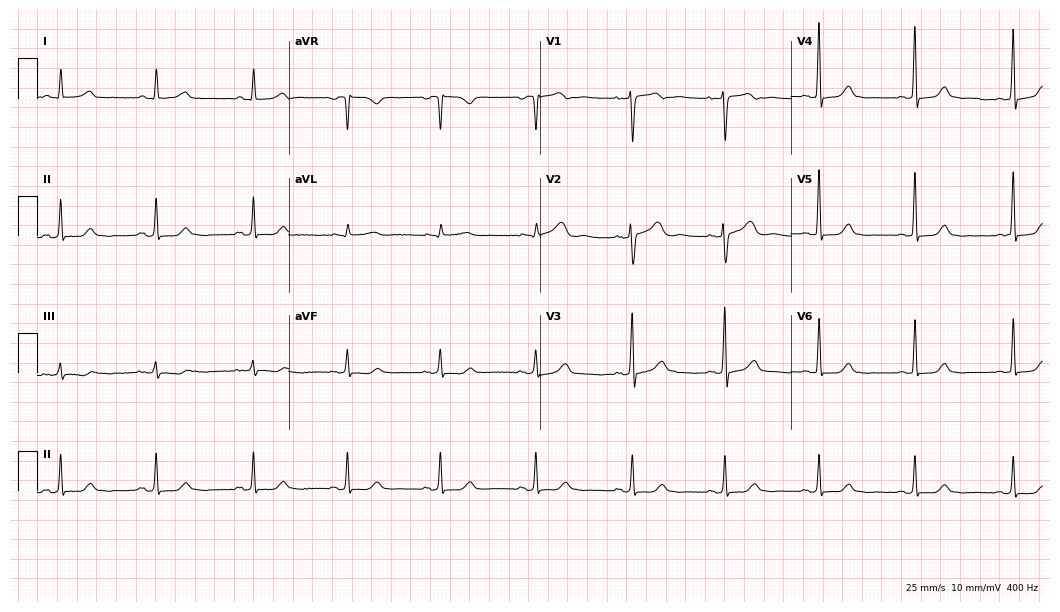
Electrocardiogram, a female patient, 57 years old. Of the six screened findings (first-degree AV block, right bundle branch block (RBBB), left bundle branch block (LBBB), sinus bradycardia, atrial fibrillation (AF), sinus tachycardia), none is recorded.